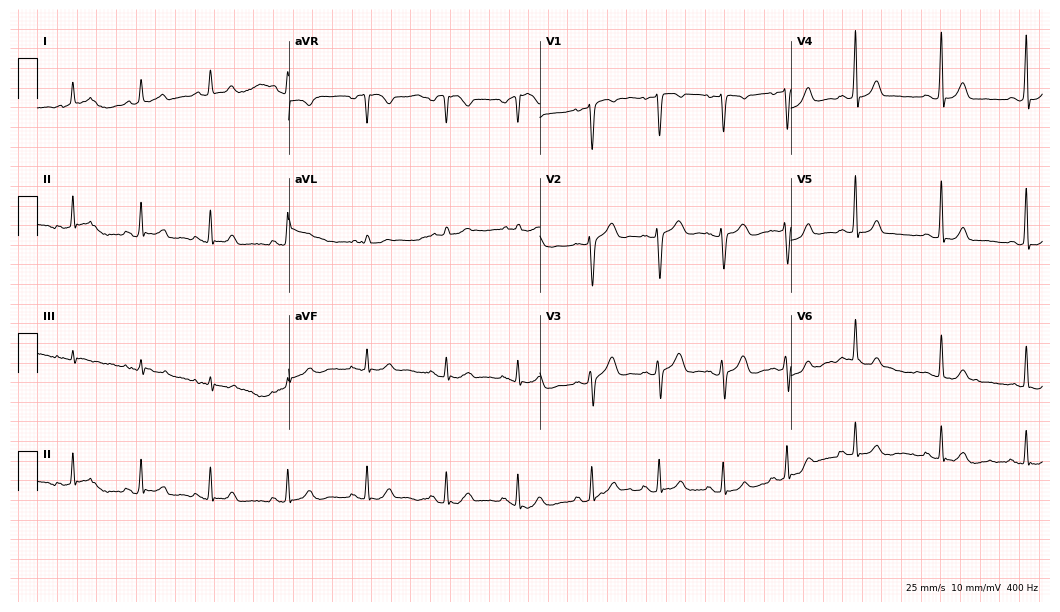
Resting 12-lead electrocardiogram. Patient: a 22-year-old female. Read as a normal ECG.